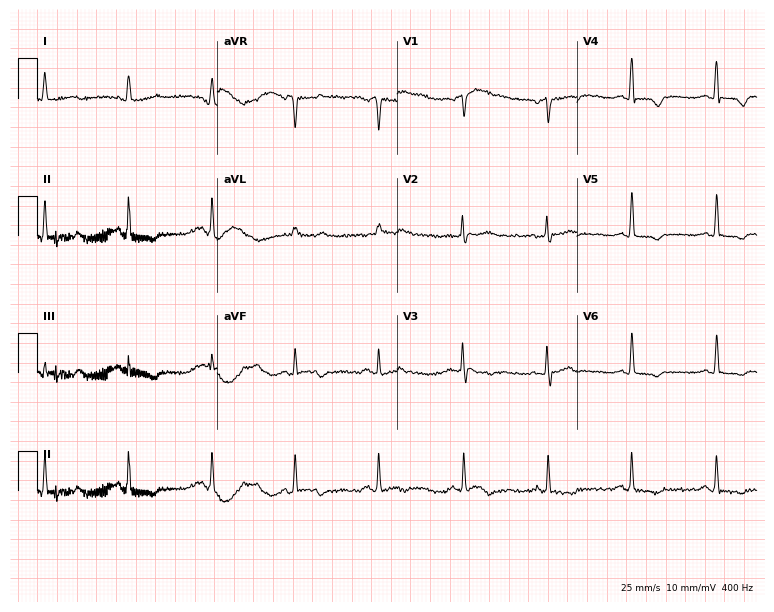
Electrocardiogram, a 50-year-old woman. Of the six screened findings (first-degree AV block, right bundle branch block (RBBB), left bundle branch block (LBBB), sinus bradycardia, atrial fibrillation (AF), sinus tachycardia), none is recorded. Only these six findings were labelled.